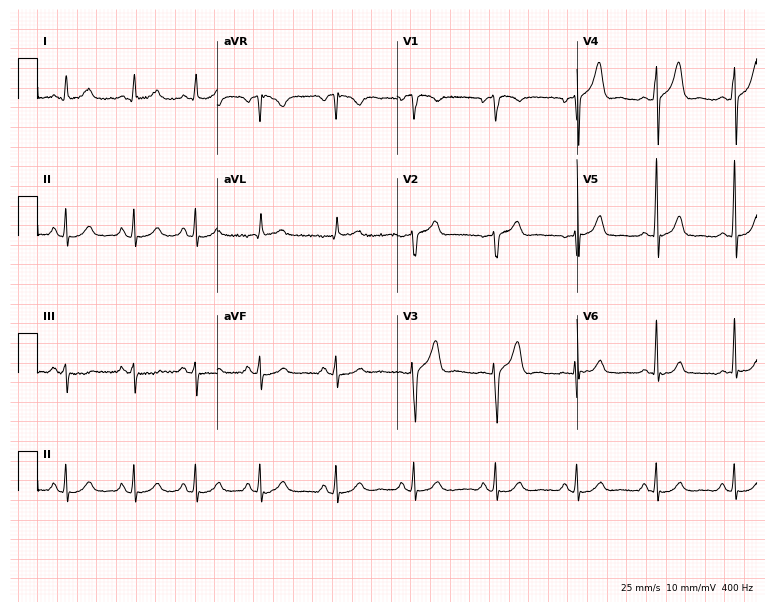
Resting 12-lead electrocardiogram. Patient: a male, 30 years old. None of these six findings is recorded: first-degree AV block, right bundle branch block, left bundle branch block, sinus bradycardia, atrial fibrillation, sinus tachycardia.